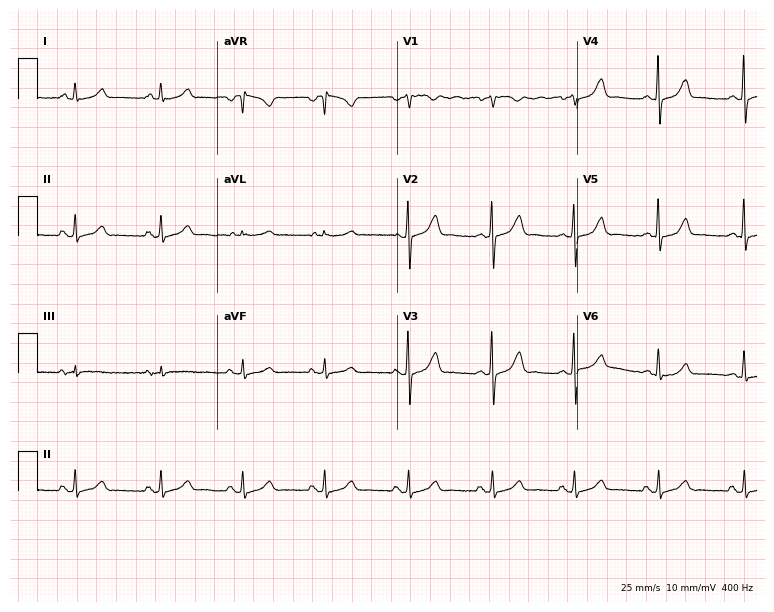
Standard 12-lead ECG recorded from a 57-year-old female (7.3-second recording at 400 Hz). Read as a normal ECG.